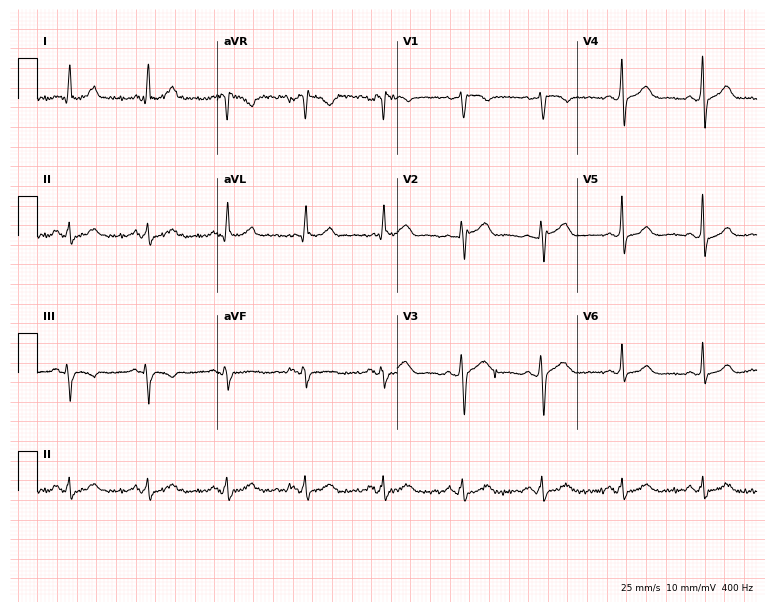
Electrocardiogram, a 50-year-old female. Overall reading on record: normal ECG.